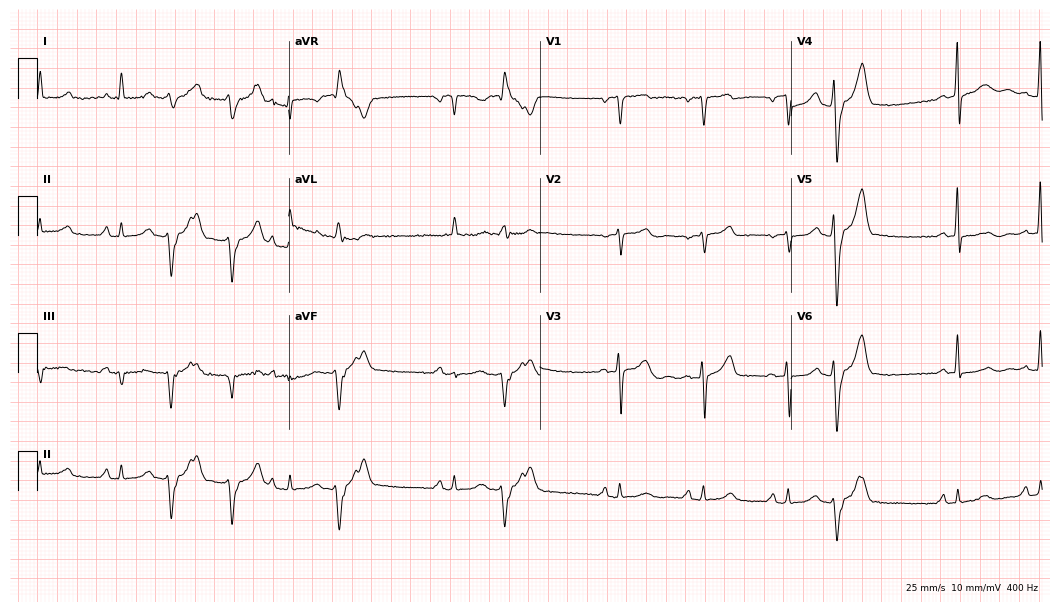
ECG (10.2-second recording at 400 Hz) — a woman, 82 years old. Screened for six findings — first-degree AV block, right bundle branch block, left bundle branch block, sinus bradycardia, atrial fibrillation, sinus tachycardia — none is recorded.